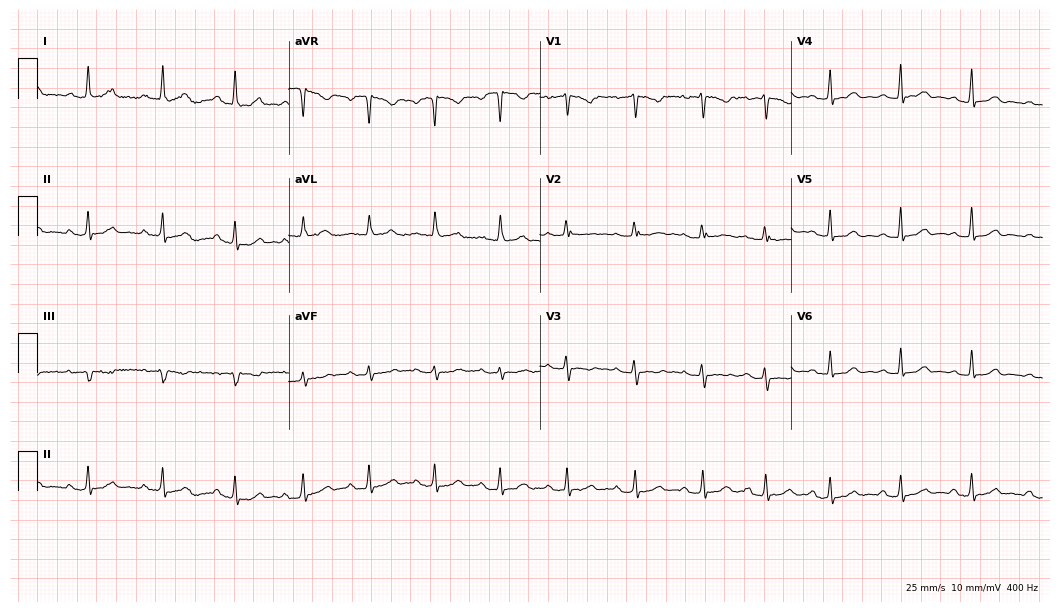
Resting 12-lead electrocardiogram. Patient: a female, 36 years old. Read as a normal ECG.